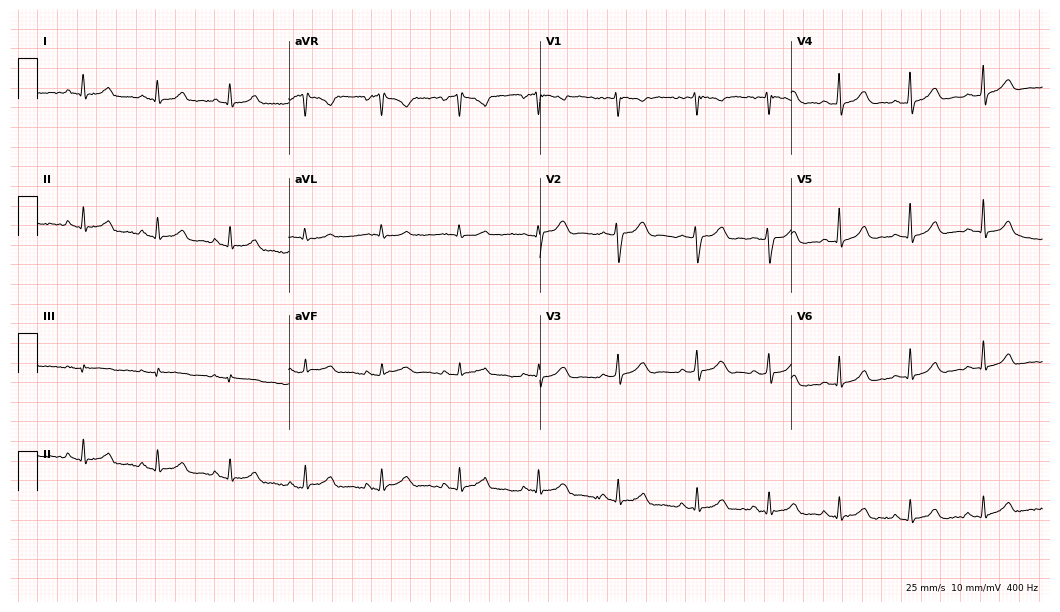
Electrocardiogram, a female, 26 years old. Overall reading on record: normal ECG.